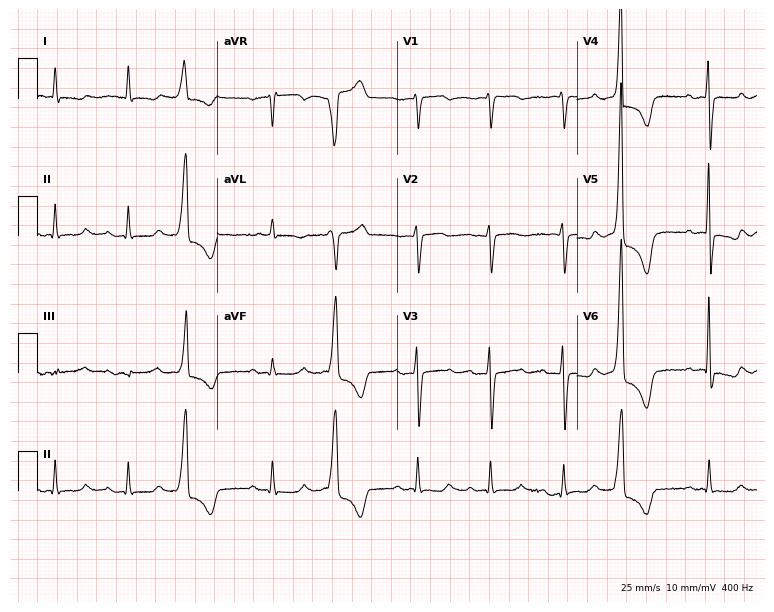
ECG — a 79-year-old woman. Screened for six findings — first-degree AV block, right bundle branch block (RBBB), left bundle branch block (LBBB), sinus bradycardia, atrial fibrillation (AF), sinus tachycardia — none is recorded.